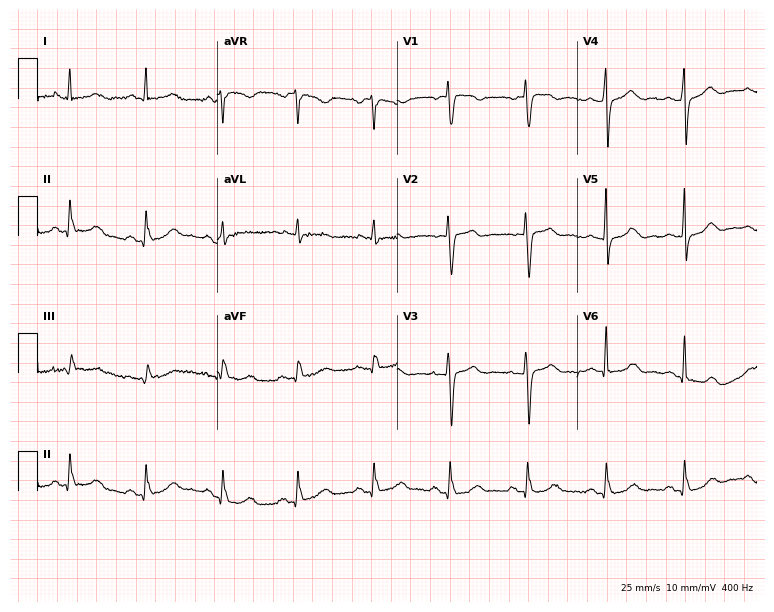
12-lead ECG (7.3-second recording at 400 Hz) from a 52-year-old man. Labelled as a normal ECG.